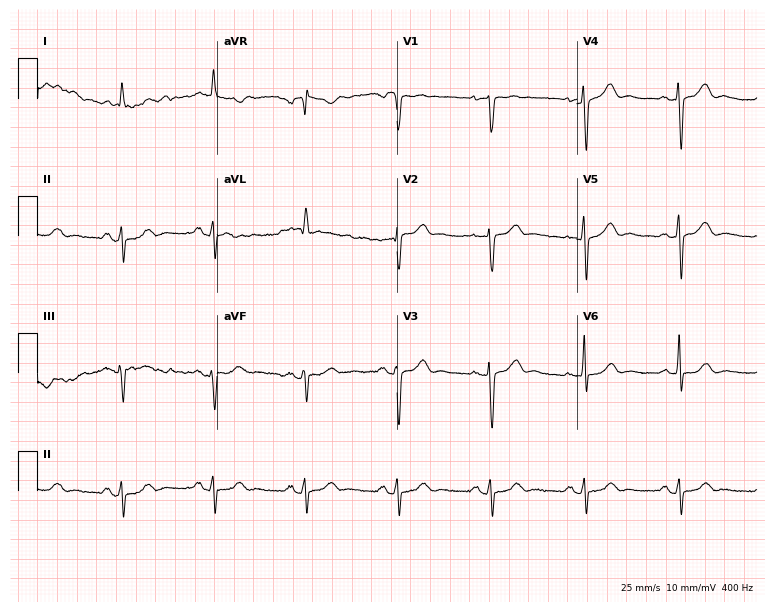
12-lead ECG (7.3-second recording at 400 Hz) from a 76-year-old male. Screened for six findings — first-degree AV block, right bundle branch block, left bundle branch block, sinus bradycardia, atrial fibrillation, sinus tachycardia — none is recorded.